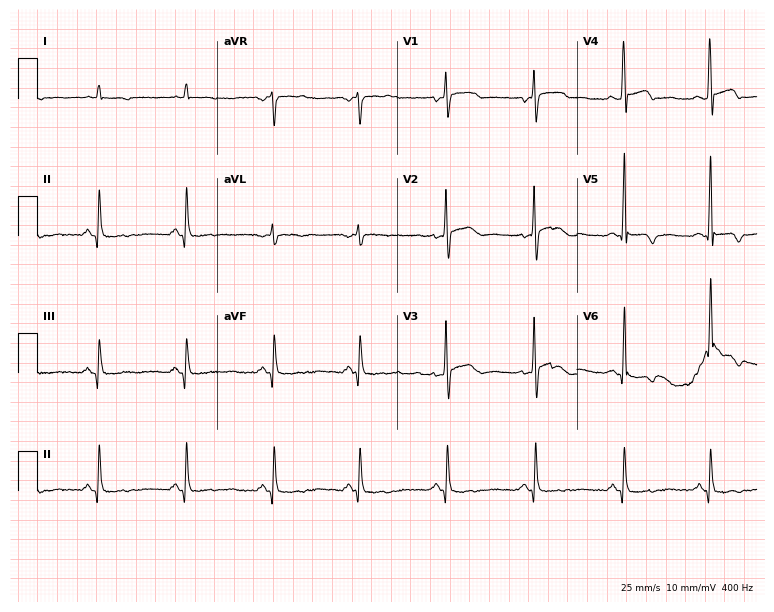
12-lead ECG from a 58-year-old male. No first-degree AV block, right bundle branch block, left bundle branch block, sinus bradycardia, atrial fibrillation or sinus tachycardia recorded for this tracing.